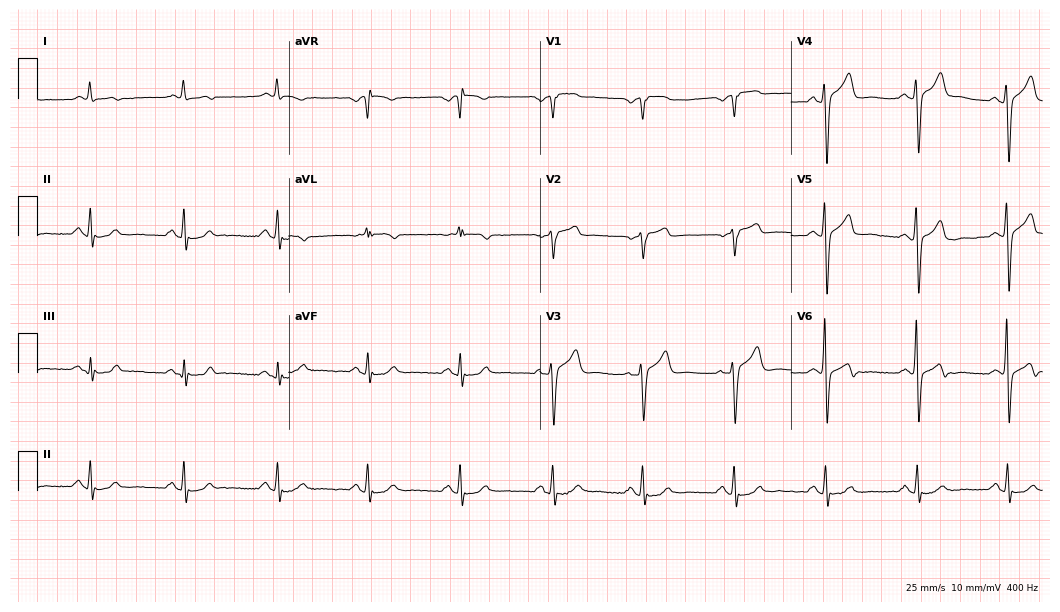
Electrocardiogram, a 70-year-old male patient. Of the six screened findings (first-degree AV block, right bundle branch block, left bundle branch block, sinus bradycardia, atrial fibrillation, sinus tachycardia), none is recorded. Only these six findings were labelled.